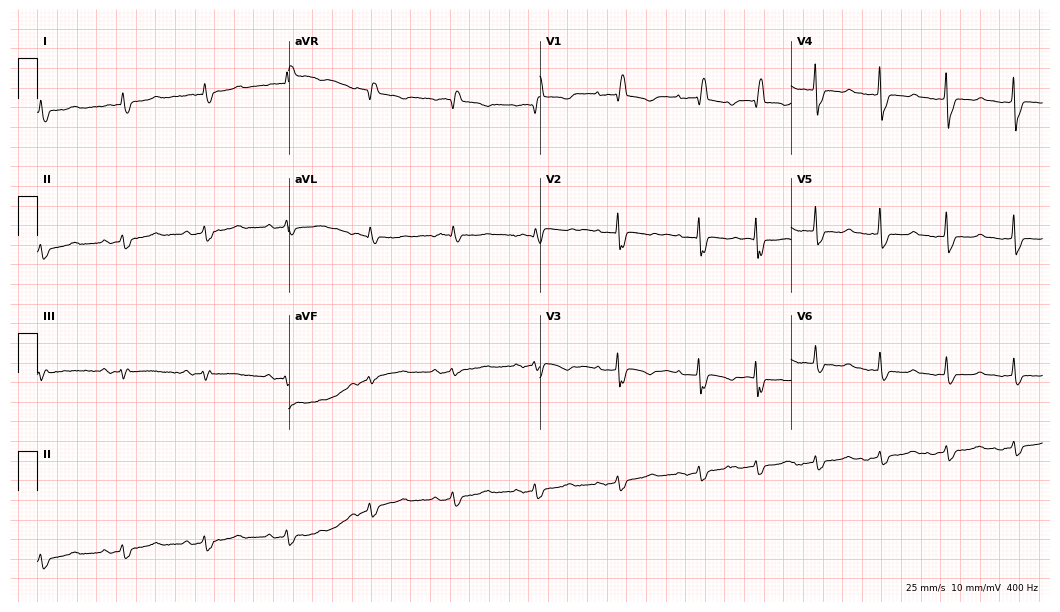
12-lead ECG from a 77-year-old female patient (10.2-second recording at 400 Hz). Shows right bundle branch block.